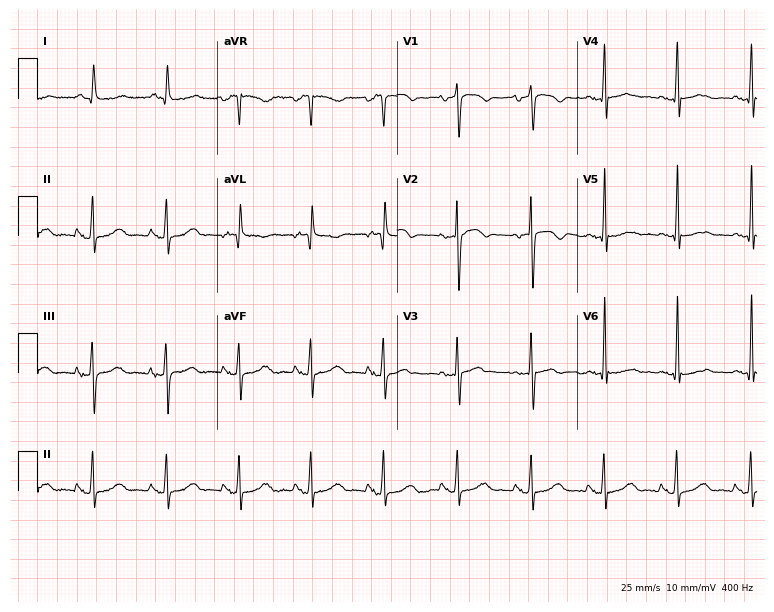
Resting 12-lead electrocardiogram (7.3-second recording at 400 Hz). Patient: a male, 84 years old. None of these six findings is recorded: first-degree AV block, right bundle branch block, left bundle branch block, sinus bradycardia, atrial fibrillation, sinus tachycardia.